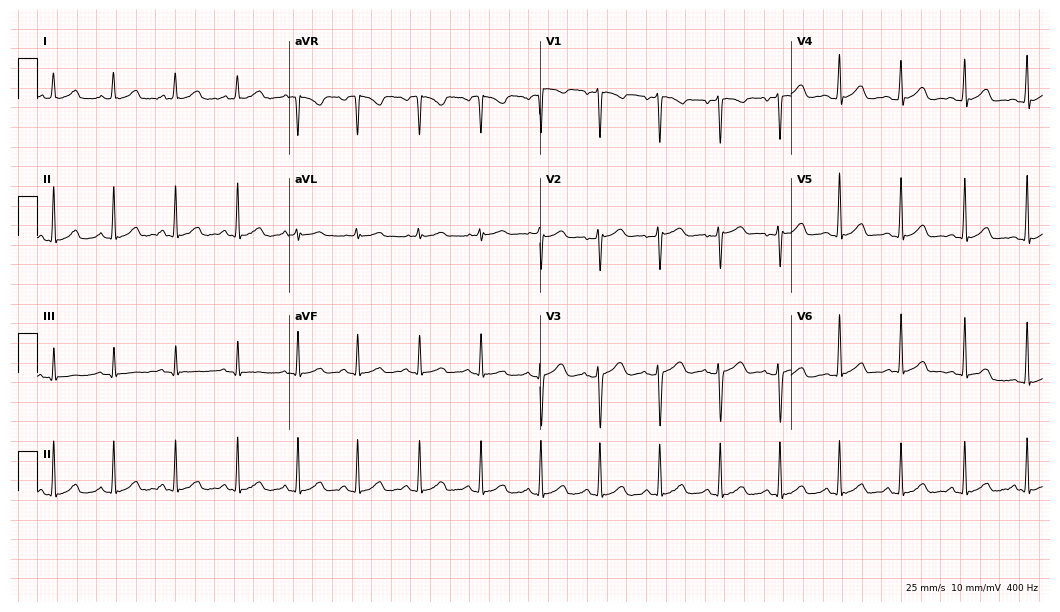
12-lead ECG (10.2-second recording at 400 Hz) from a female, 24 years old. Labelled as a normal ECG.